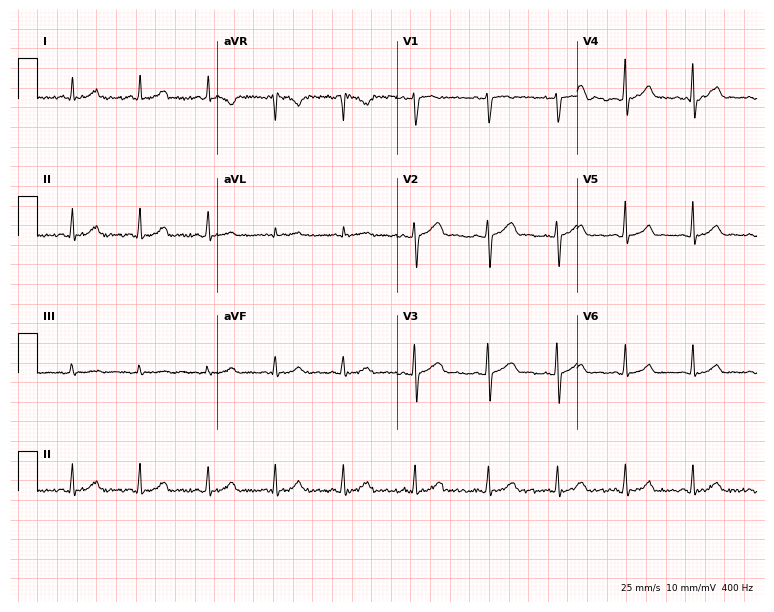
Resting 12-lead electrocardiogram. Patient: a female, 32 years old. Read as a normal ECG.